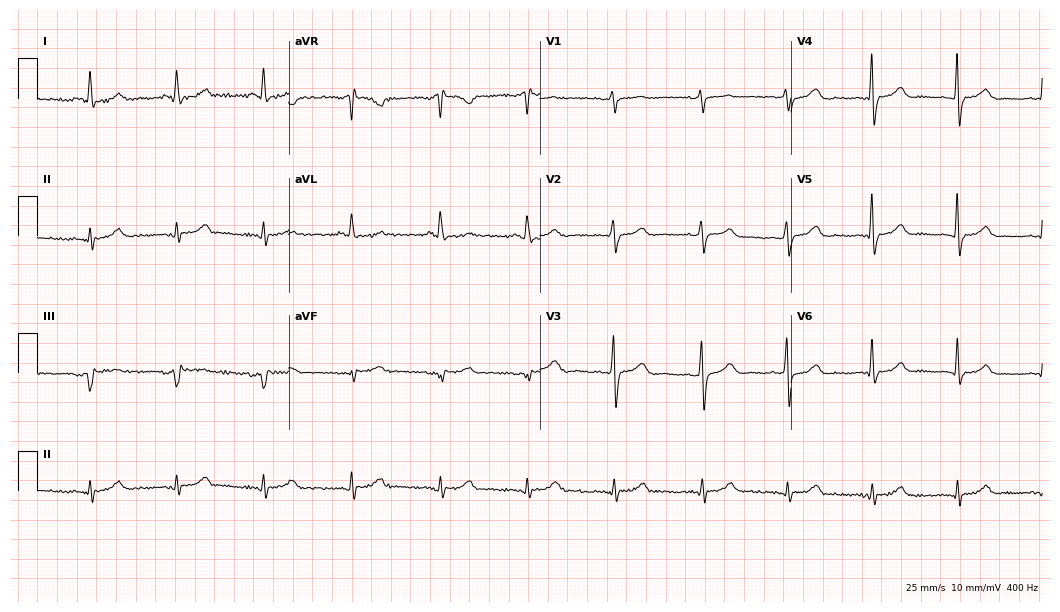
12-lead ECG from a female, 74 years old (10.2-second recording at 400 Hz). No first-degree AV block, right bundle branch block (RBBB), left bundle branch block (LBBB), sinus bradycardia, atrial fibrillation (AF) or sinus tachycardia recorded for this tracing. Findings outside these six are not listed.